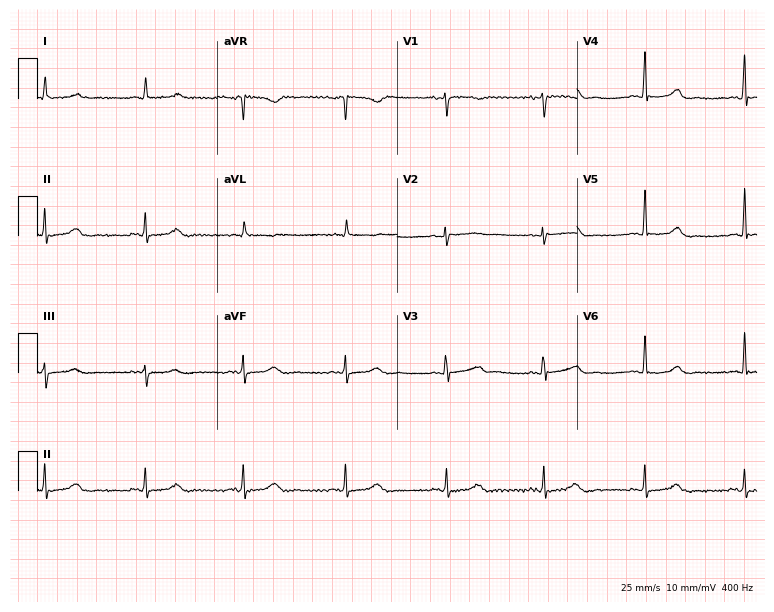
Standard 12-lead ECG recorded from a female, 74 years old (7.3-second recording at 400 Hz). None of these six findings is recorded: first-degree AV block, right bundle branch block, left bundle branch block, sinus bradycardia, atrial fibrillation, sinus tachycardia.